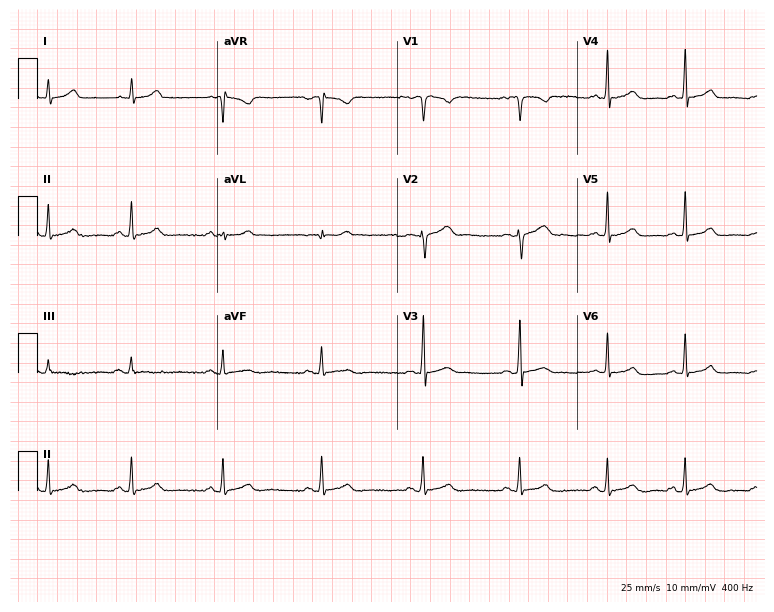
12-lead ECG from a 26-year-old female patient. Labelled as a normal ECG.